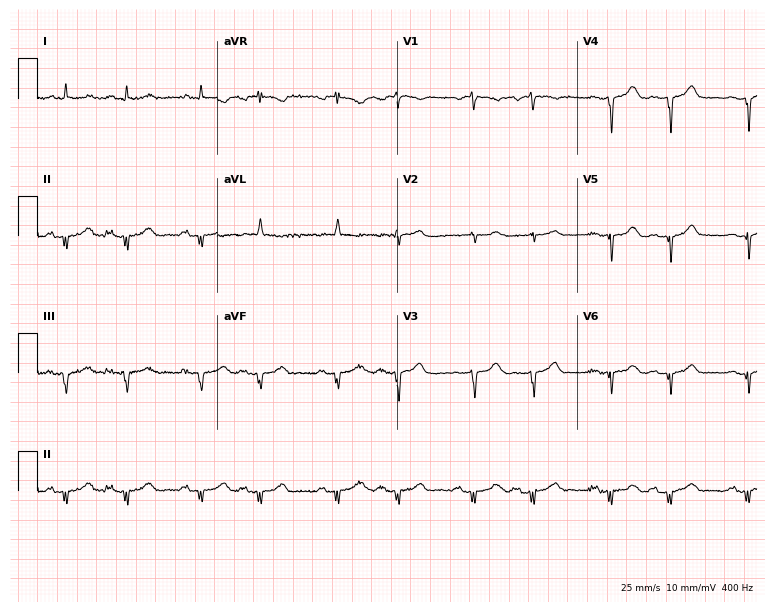
Electrocardiogram, a 66-year-old female patient. Of the six screened findings (first-degree AV block, right bundle branch block, left bundle branch block, sinus bradycardia, atrial fibrillation, sinus tachycardia), none is recorded.